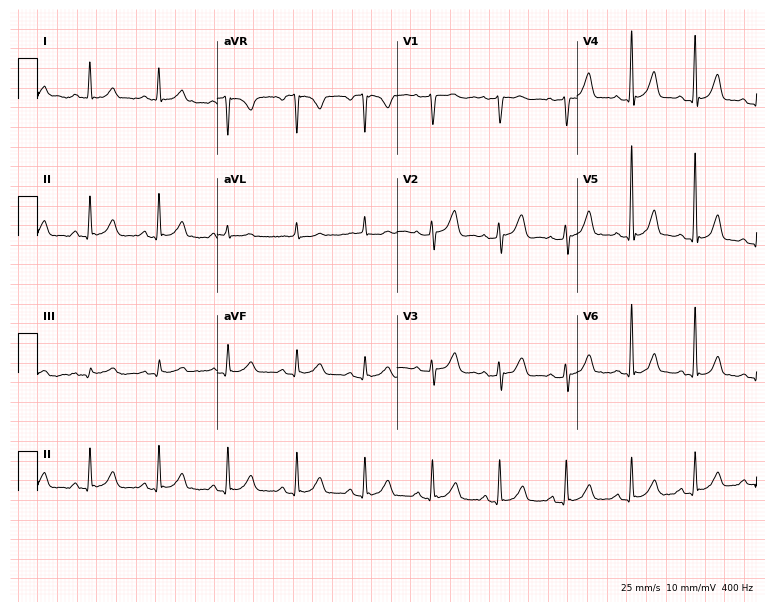
12-lead ECG from a 58-year-old female. No first-degree AV block, right bundle branch block, left bundle branch block, sinus bradycardia, atrial fibrillation or sinus tachycardia recorded for this tracing. Only these six findings were labelled.